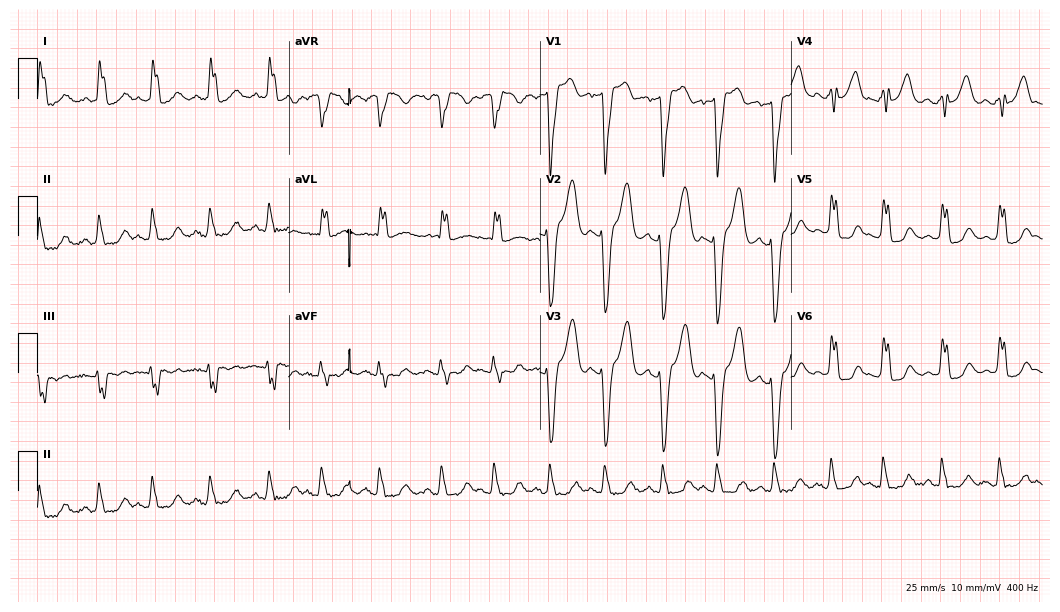
Standard 12-lead ECG recorded from a woman, 70 years old. The tracing shows left bundle branch block.